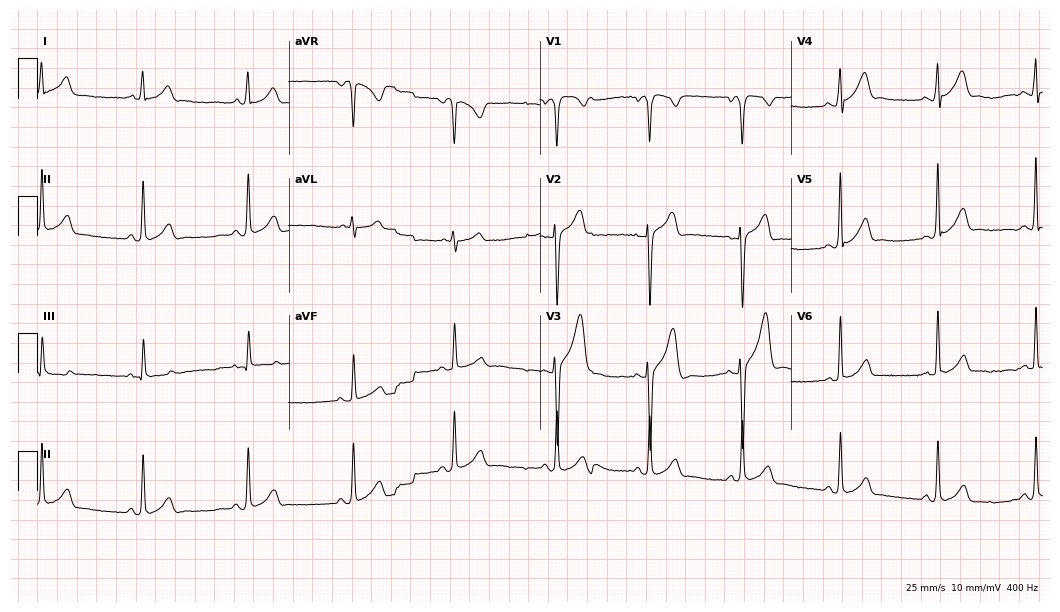
ECG (10.2-second recording at 400 Hz) — a 20-year-old man. Labelled as a normal ECG.